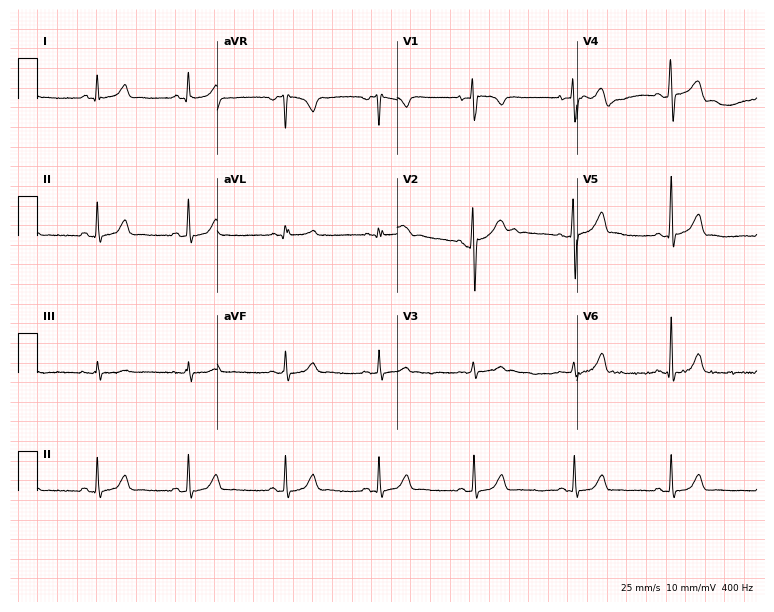
Resting 12-lead electrocardiogram (7.3-second recording at 400 Hz). Patient: a man, 18 years old. Read as a normal ECG.